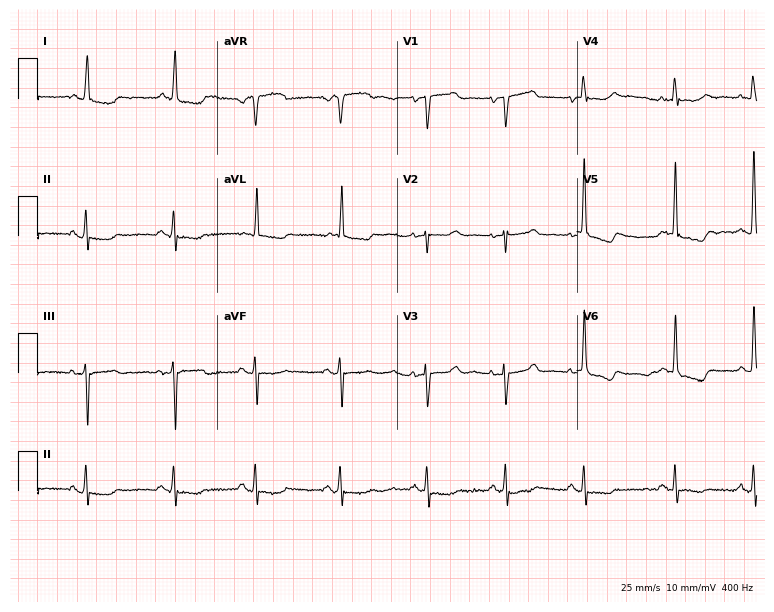
Electrocardiogram (7.3-second recording at 400 Hz), a female, 86 years old. Of the six screened findings (first-degree AV block, right bundle branch block, left bundle branch block, sinus bradycardia, atrial fibrillation, sinus tachycardia), none is recorded.